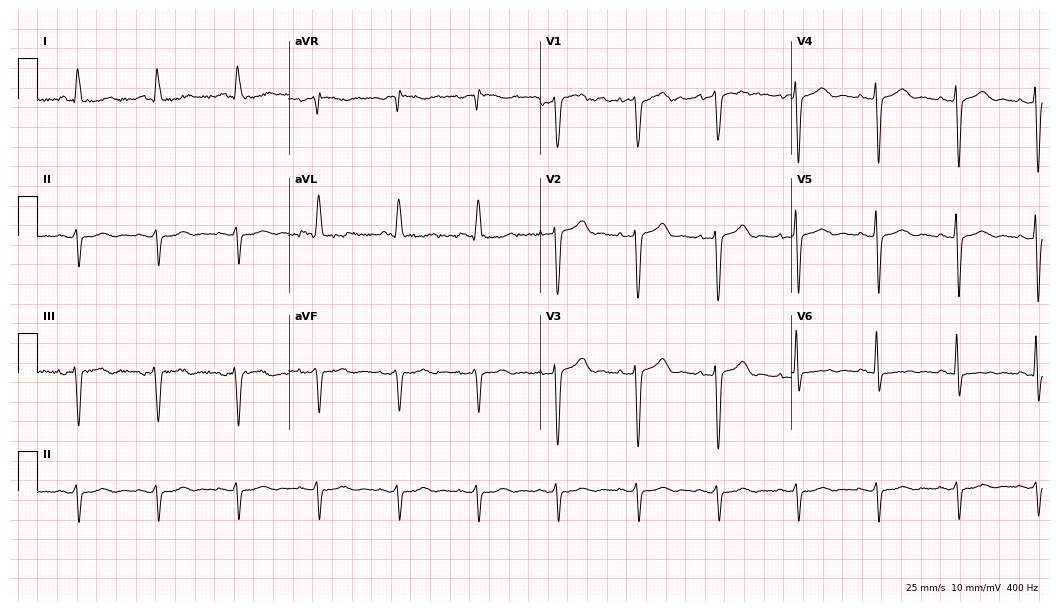
12-lead ECG (10.2-second recording at 400 Hz) from an 83-year-old male patient. Screened for six findings — first-degree AV block, right bundle branch block, left bundle branch block, sinus bradycardia, atrial fibrillation, sinus tachycardia — none is recorded.